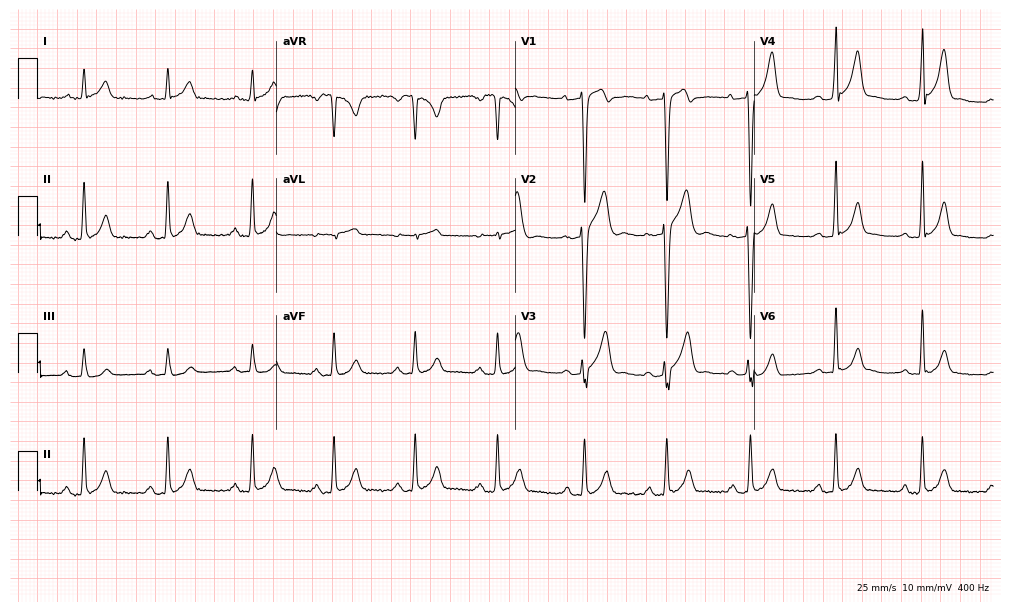
Electrocardiogram (9.7-second recording at 400 Hz), a 28-year-old male patient. Of the six screened findings (first-degree AV block, right bundle branch block (RBBB), left bundle branch block (LBBB), sinus bradycardia, atrial fibrillation (AF), sinus tachycardia), none is recorded. Other findings, if any, are not listed.